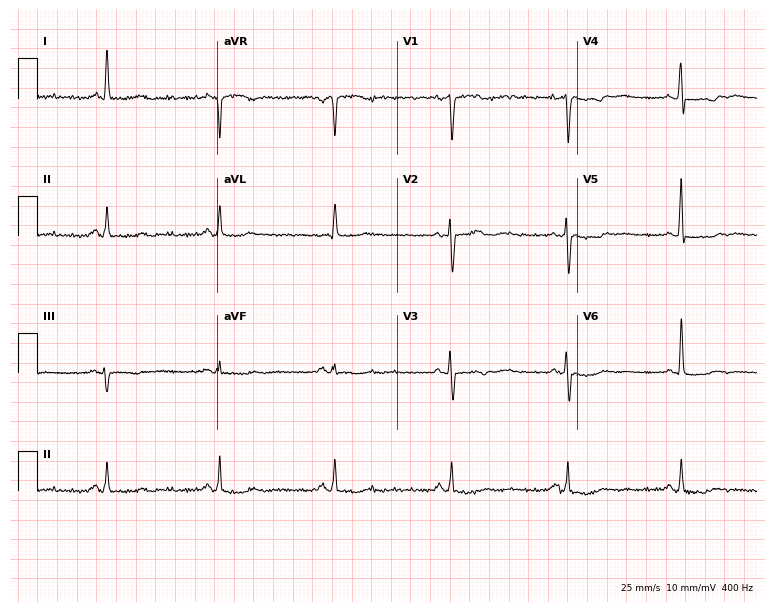
Standard 12-lead ECG recorded from a 75-year-old woman (7.3-second recording at 400 Hz). None of these six findings is recorded: first-degree AV block, right bundle branch block, left bundle branch block, sinus bradycardia, atrial fibrillation, sinus tachycardia.